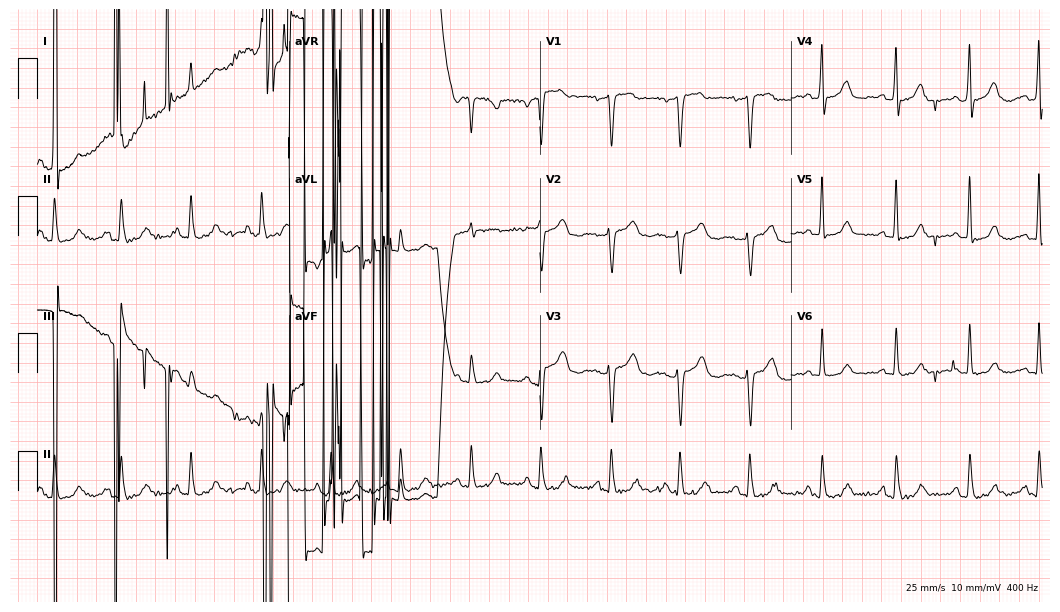
Electrocardiogram (10.2-second recording at 400 Hz), a 61-year-old female patient. Of the six screened findings (first-degree AV block, right bundle branch block, left bundle branch block, sinus bradycardia, atrial fibrillation, sinus tachycardia), none is recorded.